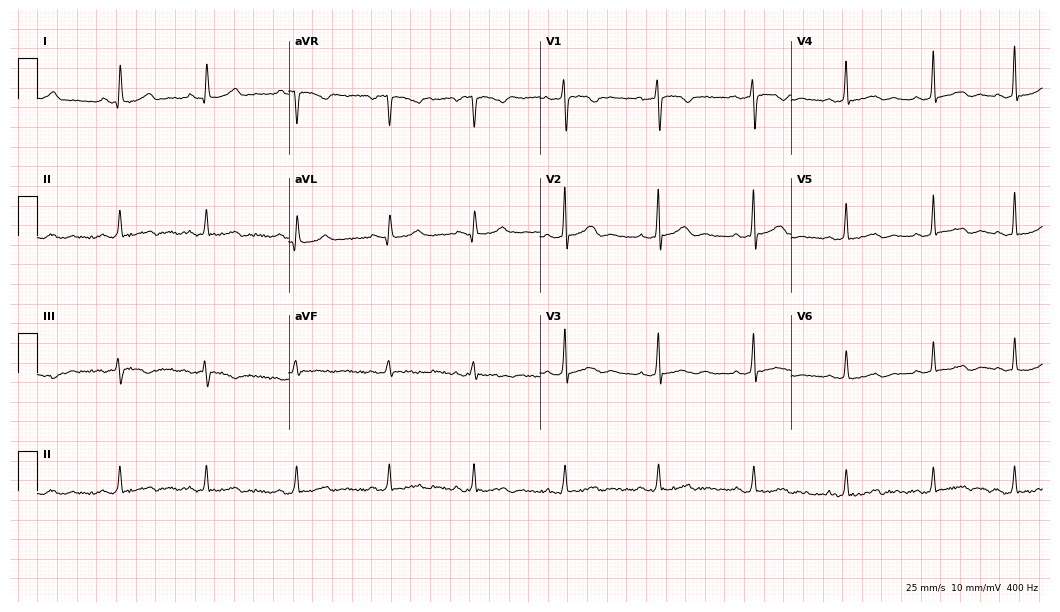
12-lead ECG from a 30-year-old female patient. Recorded interpretation: within normal limits.